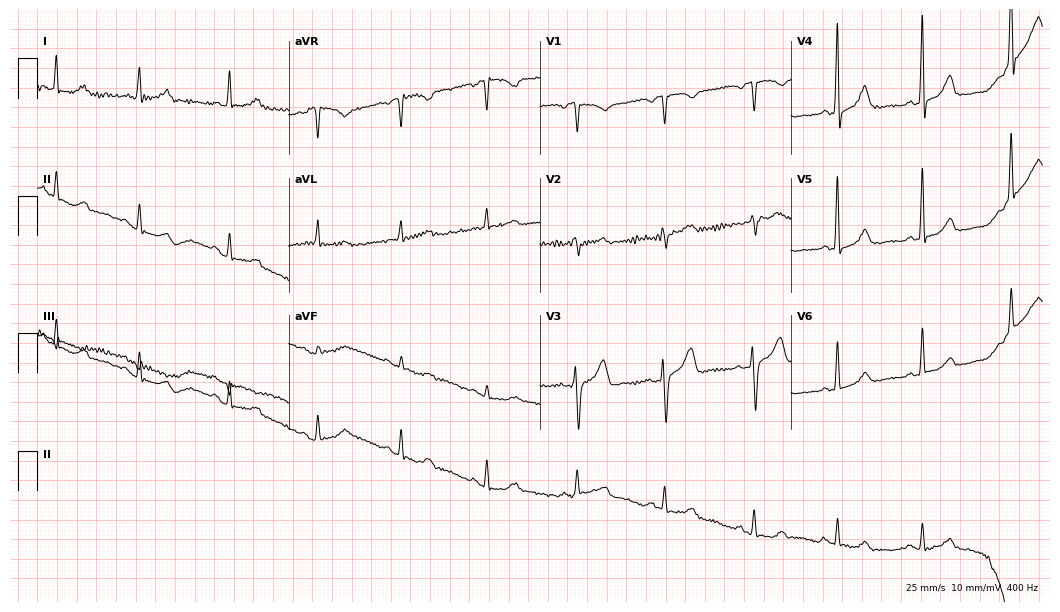
Electrocardiogram, an 81-year-old male patient. Overall reading on record: normal ECG.